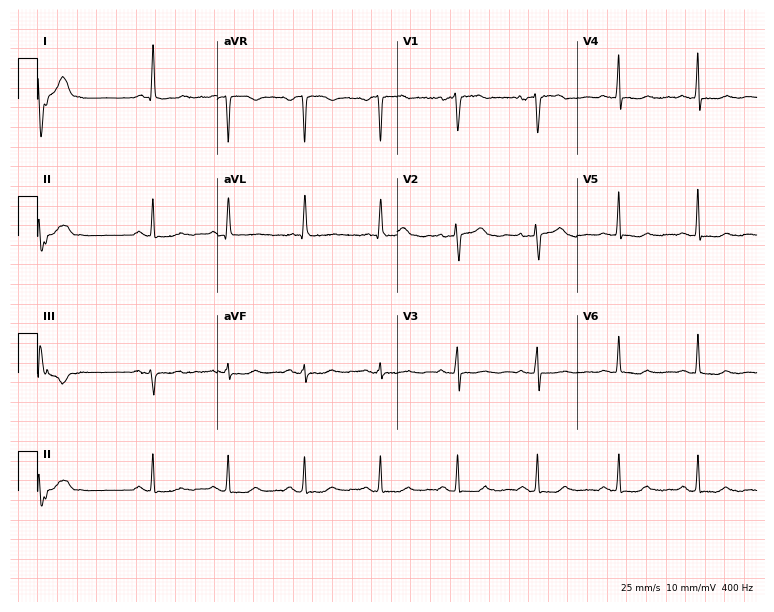
ECG — a female patient, 85 years old. Screened for six findings — first-degree AV block, right bundle branch block, left bundle branch block, sinus bradycardia, atrial fibrillation, sinus tachycardia — none is recorded.